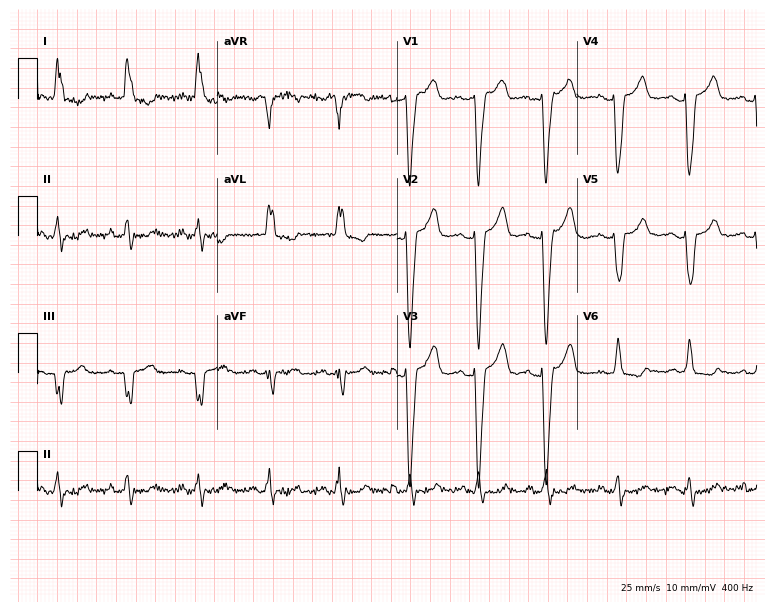
Resting 12-lead electrocardiogram (7.3-second recording at 400 Hz). Patient: a female, 50 years old. The tracing shows left bundle branch block (LBBB).